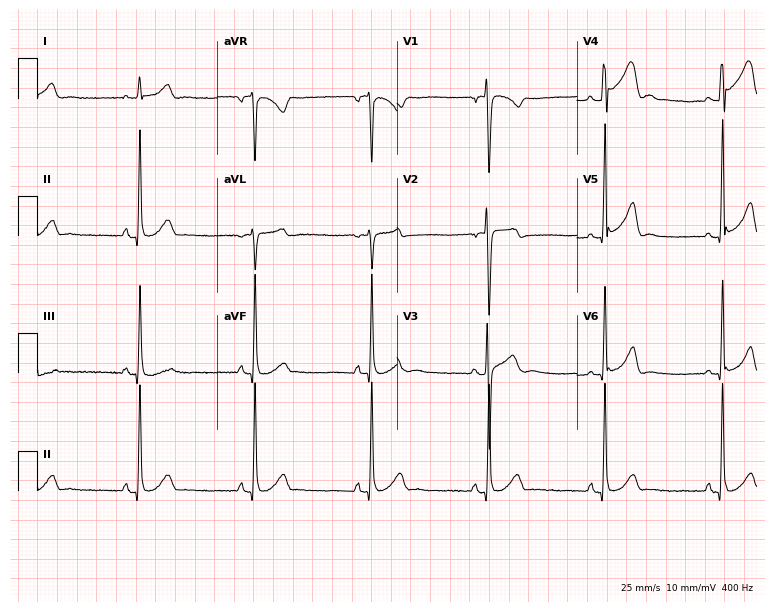
Resting 12-lead electrocardiogram. Patient: an 18-year-old male. The tracing shows sinus bradycardia (a sinus rate of 50 beats per minute or less).